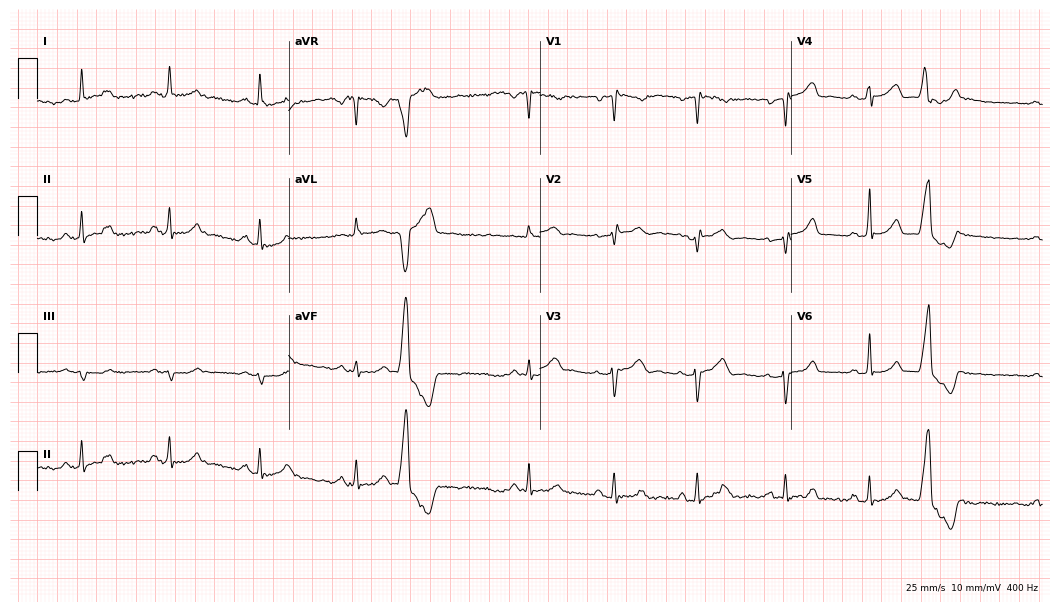
12-lead ECG (10.2-second recording at 400 Hz) from a female patient, 28 years old. Screened for six findings — first-degree AV block, right bundle branch block (RBBB), left bundle branch block (LBBB), sinus bradycardia, atrial fibrillation (AF), sinus tachycardia — none is recorded.